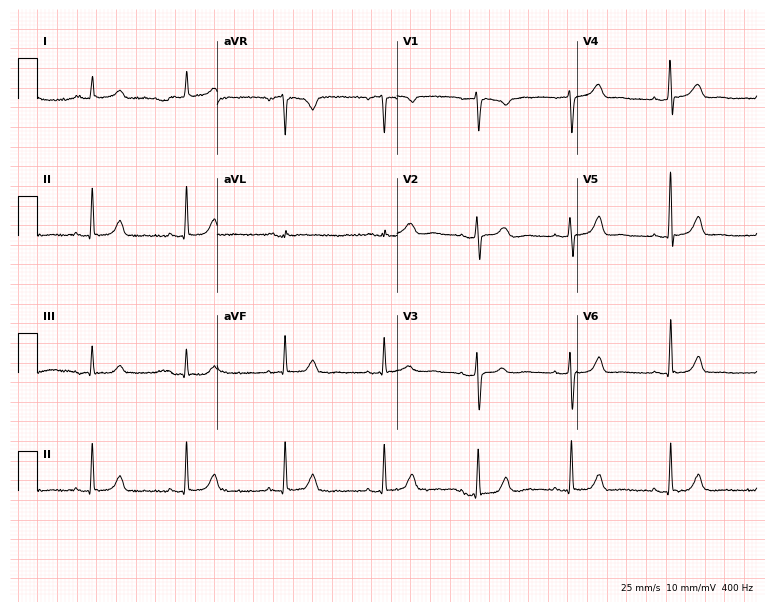
Resting 12-lead electrocardiogram. Patient: a female, 34 years old. Read as a normal ECG.